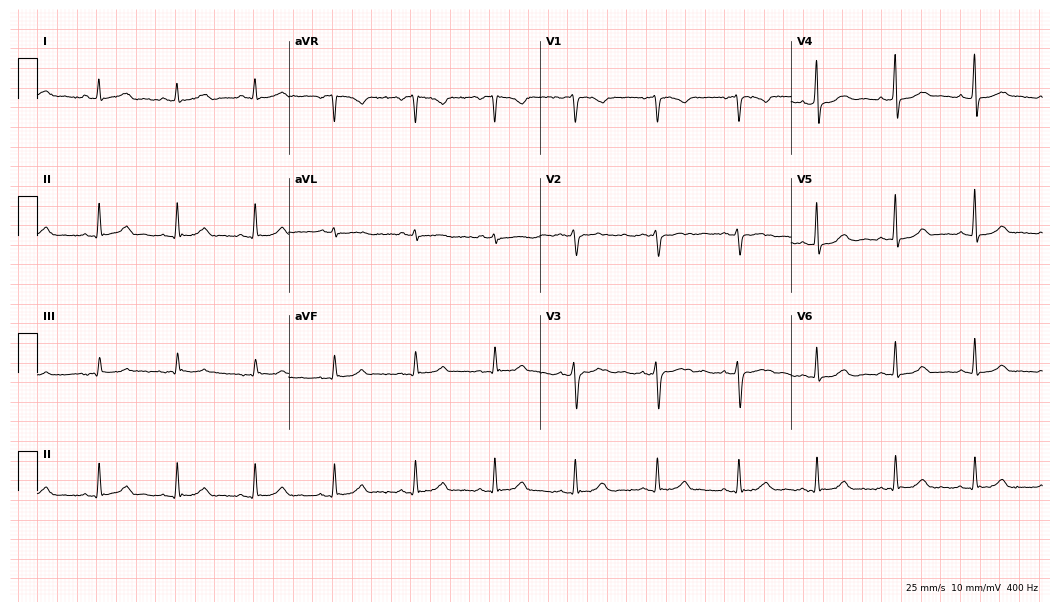
Standard 12-lead ECG recorded from a 40-year-old woman (10.2-second recording at 400 Hz). Read as a normal ECG.